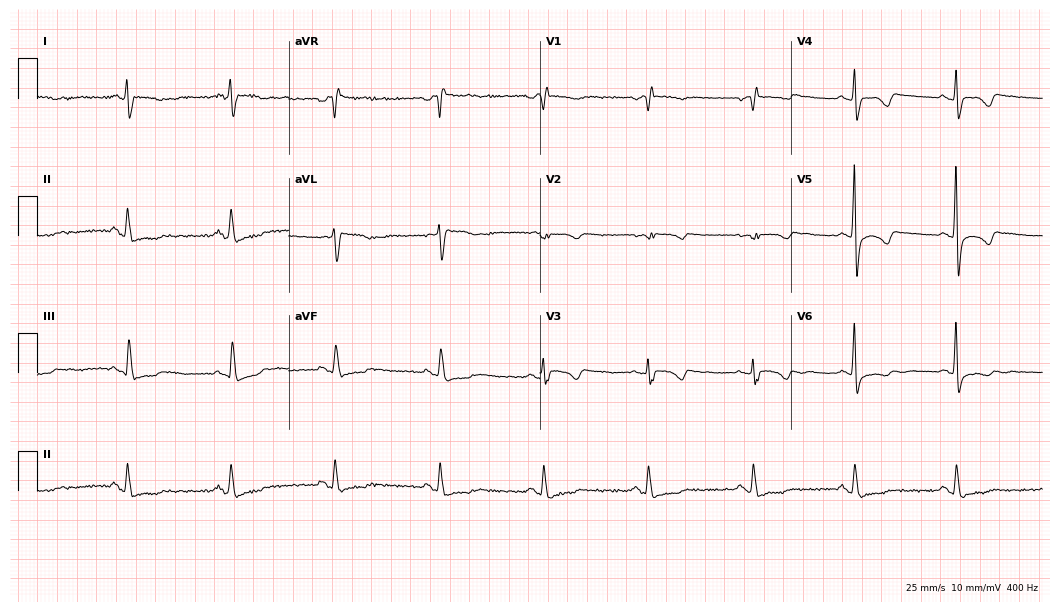
Electrocardiogram, a female patient, 68 years old. Interpretation includes right bundle branch block.